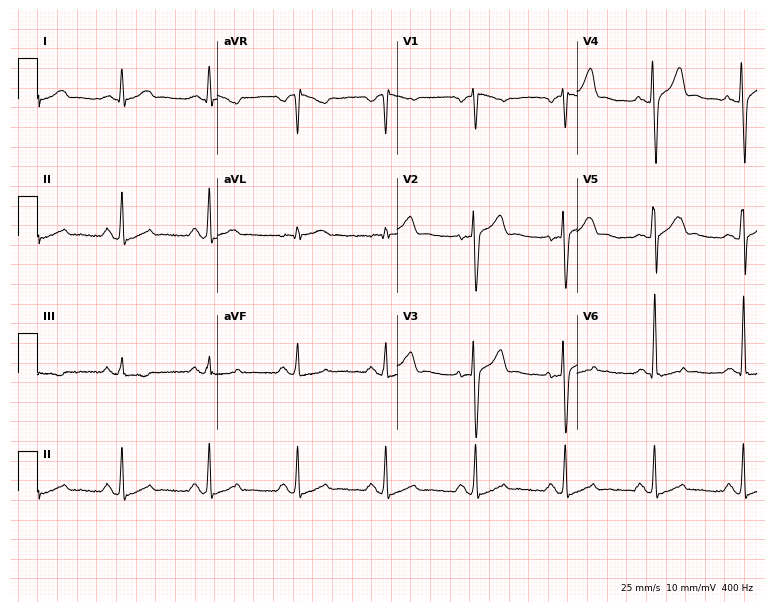
12-lead ECG from a man, 36 years old (7.3-second recording at 400 Hz). Recorded interpretation: within normal limits.